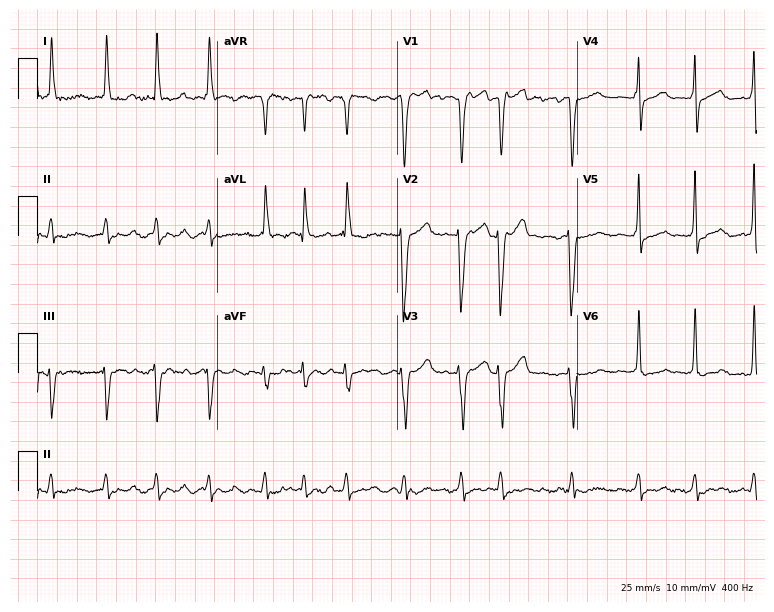
ECG — an 85-year-old female. Findings include atrial fibrillation.